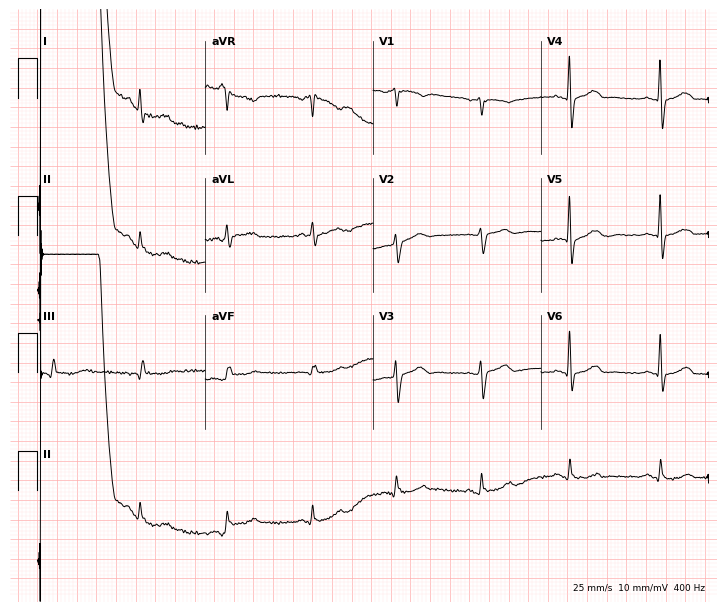
12-lead ECG from a male patient, 73 years old (6.8-second recording at 400 Hz). No first-degree AV block, right bundle branch block, left bundle branch block, sinus bradycardia, atrial fibrillation or sinus tachycardia recorded for this tracing. Other findings, if any, are not listed.